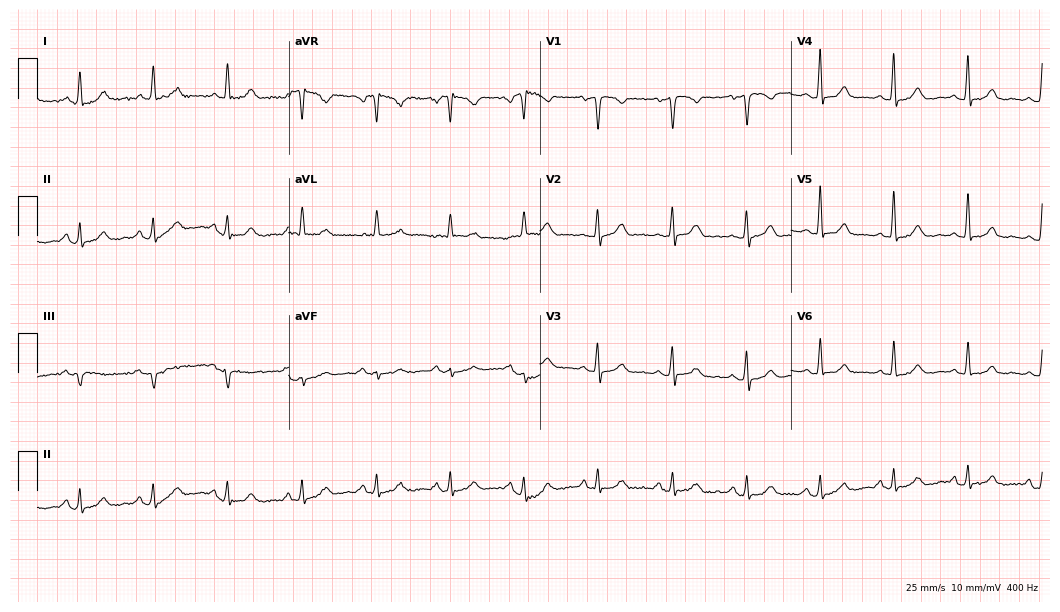
Electrocardiogram, a woman, 62 years old. Overall reading on record: normal ECG.